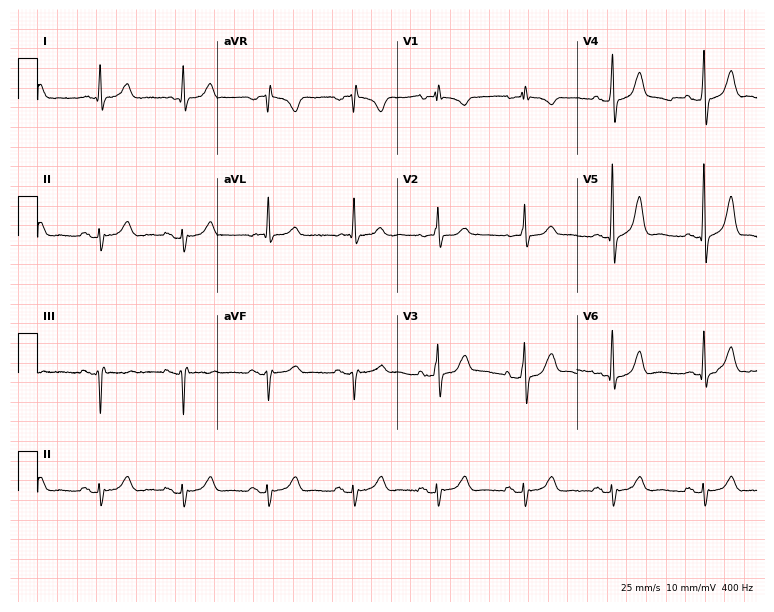
Standard 12-lead ECG recorded from an 83-year-old male patient (7.3-second recording at 400 Hz). None of these six findings is recorded: first-degree AV block, right bundle branch block, left bundle branch block, sinus bradycardia, atrial fibrillation, sinus tachycardia.